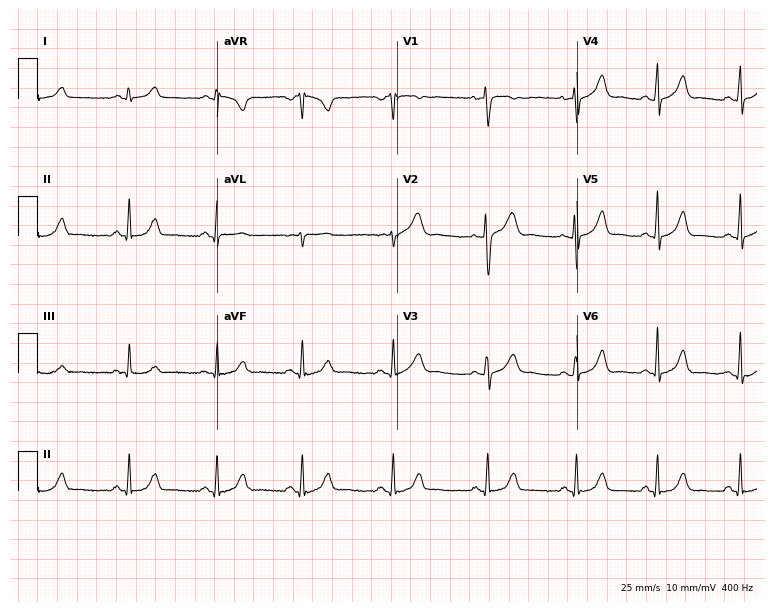
12-lead ECG (7.3-second recording at 400 Hz) from a female patient, 25 years old. Labelled as a normal ECG.